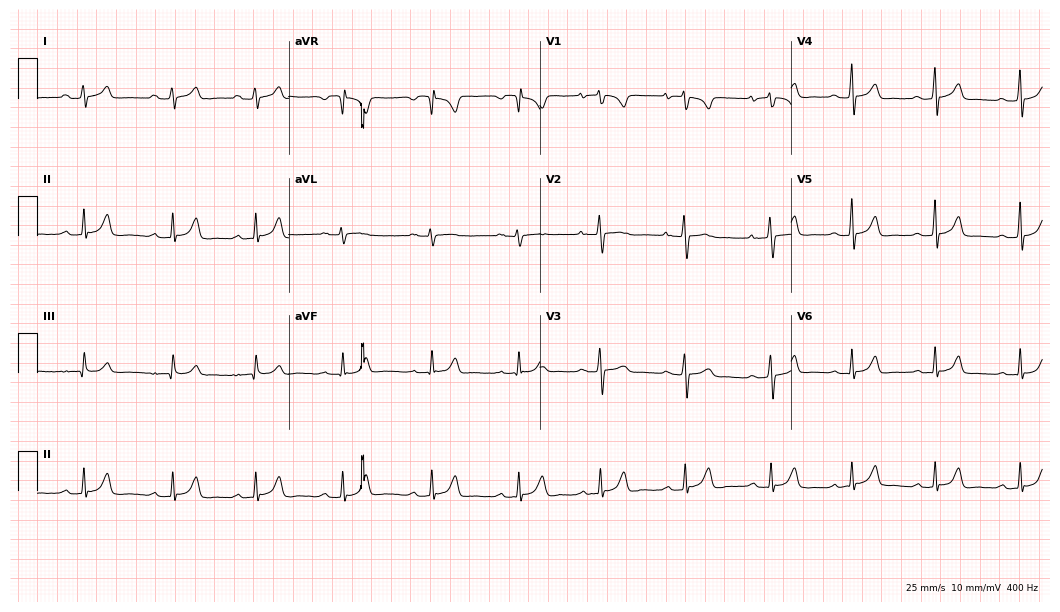
Resting 12-lead electrocardiogram. Patient: a 26-year-old female. None of these six findings is recorded: first-degree AV block, right bundle branch block, left bundle branch block, sinus bradycardia, atrial fibrillation, sinus tachycardia.